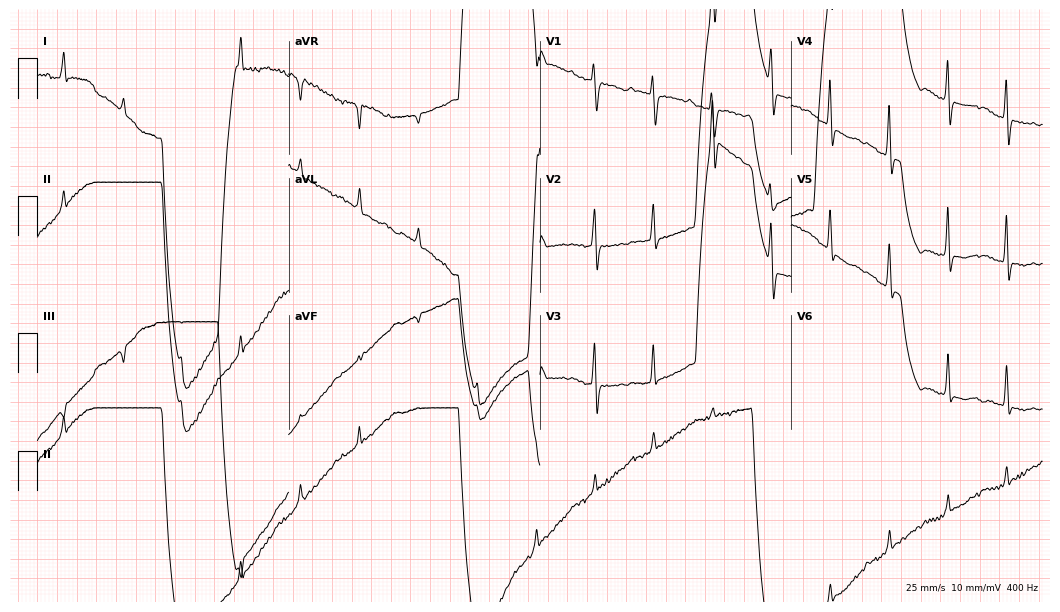
Resting 12-lead electrocardiogram (10.2-second recording at 400 Hz). Patient: an 83-year-old female. None of these six findings is recorded: first-degree AV block, right bundle branch block (RBBB), left bundle branch block (LBBB), sinus bradycardia, atrial fibrillation (AF), sinus tachycardia.